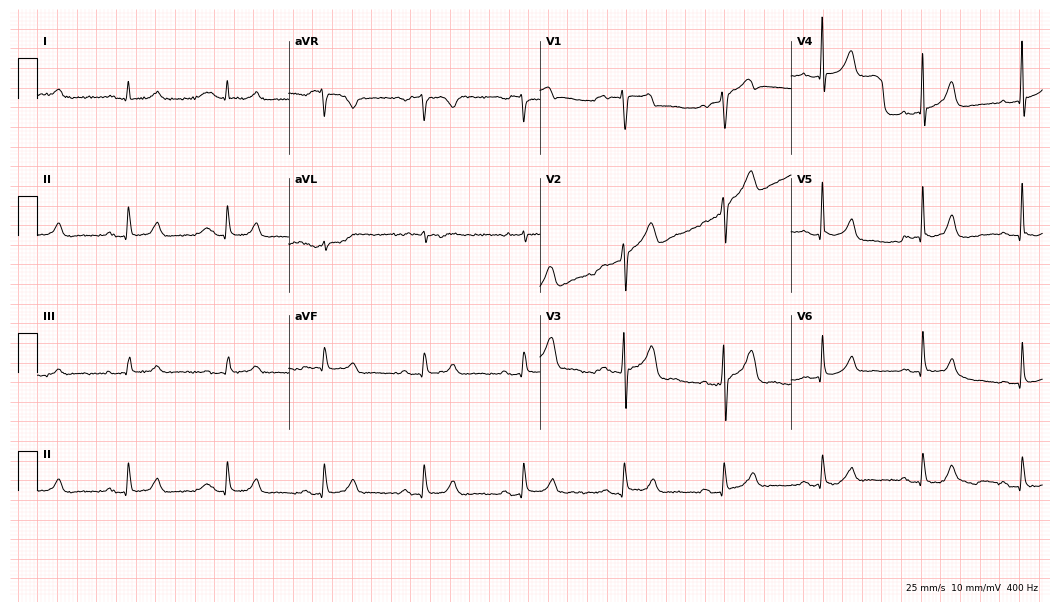
12-lead ECG from a male, 56 years old. Labelled as a normal ECG.